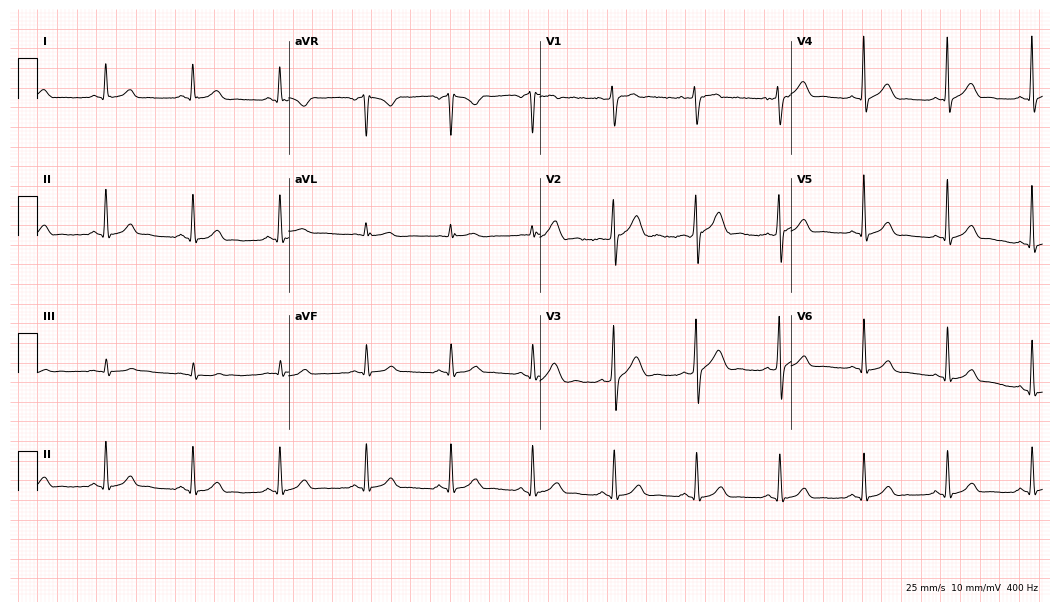
12-lead ECG from a man, 42 years old (10.2-second recording at 400 Hz). Recorded interpretation: within normal limits.